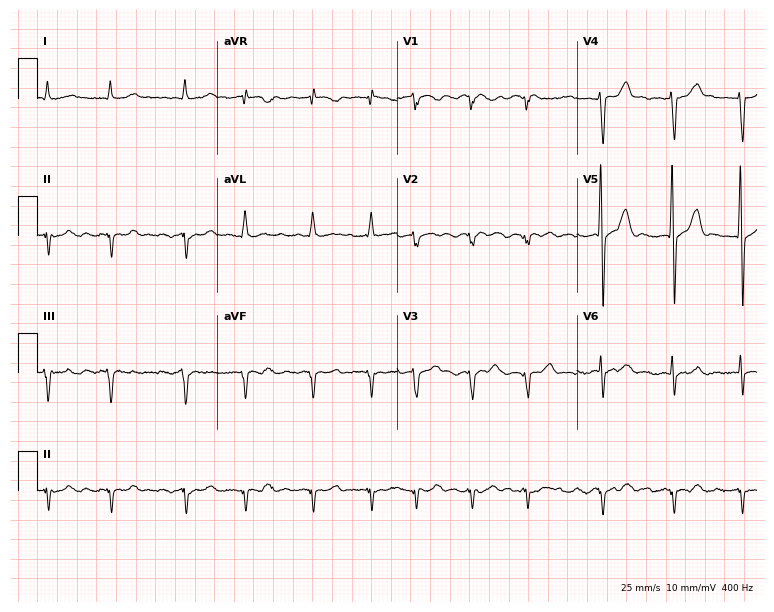
12-lead ECG from a male patient, 67 years old (7.3-second recording at 400 Hz). Shows atrial fibrillation (AF).